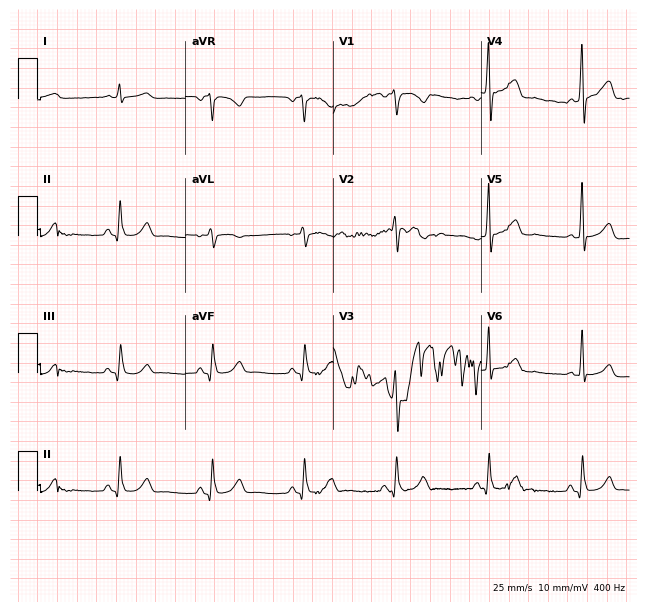
12-lead ECG from a 66-year-old male (6-second recording at 400 Hz). No first-degree AV block, right bundle branch block, left bundle branch block, sinus bradycardia, atrial fibrillation or sinus tachycardia recorded for this tracing. Only these six findings were labelled.